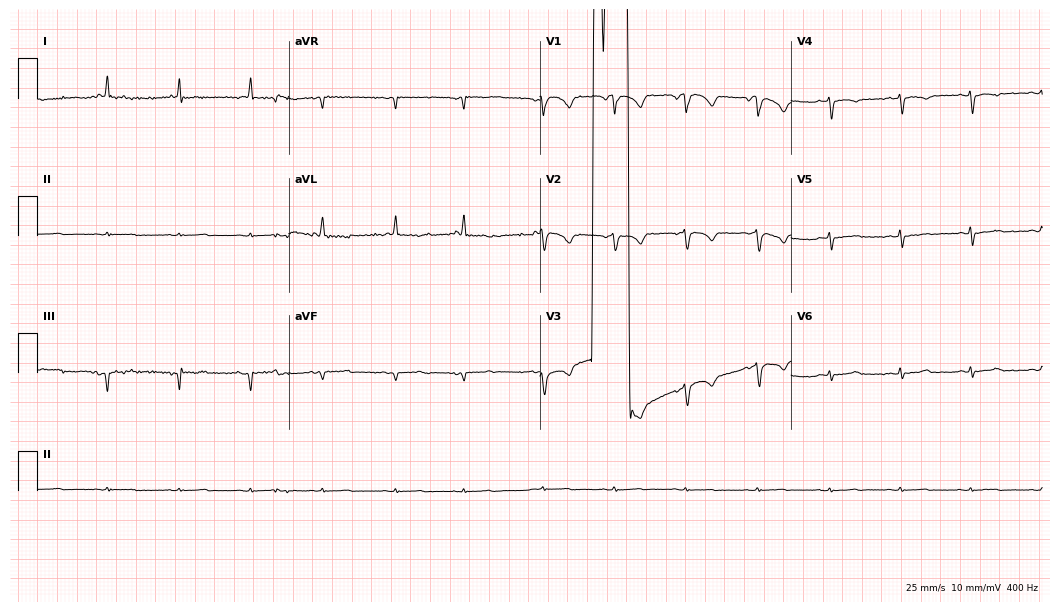
Electrocardiogram (10.2-second recording at 400 Hz), a 74-year-old woman. Of the six screened findings (first-degree AV block, right bundle branch block, left bundle branch block, sinus bradycardia, atrial fibrillation, sinus tachycardia), none is recorded. Only these six findings were labelled.